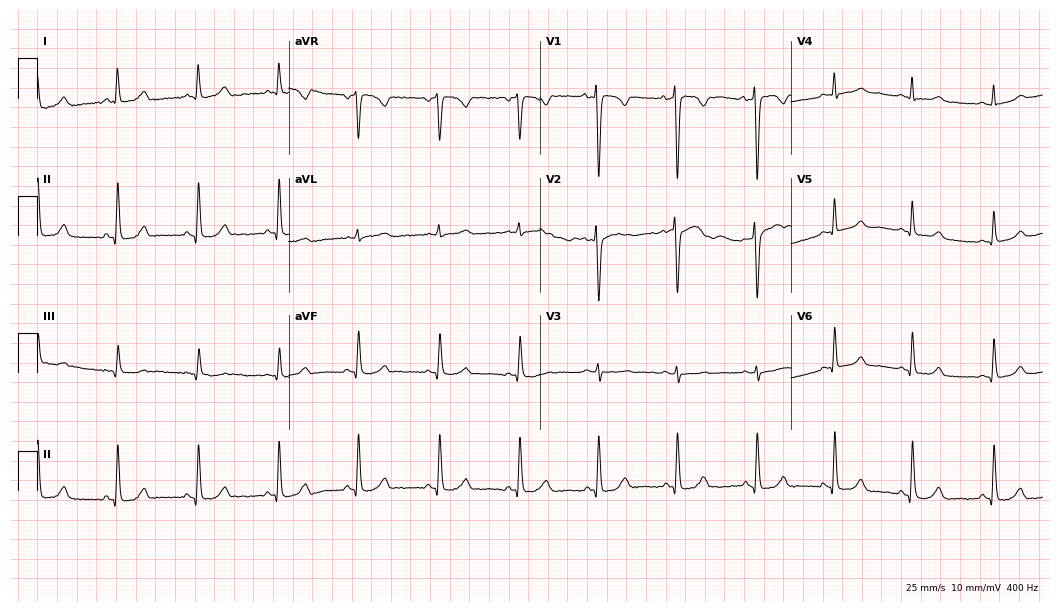
Standard 12-lead ECG recorded from a 27-year-old female (10.2-second recording at 400 Hz). Read as a normal ECG.